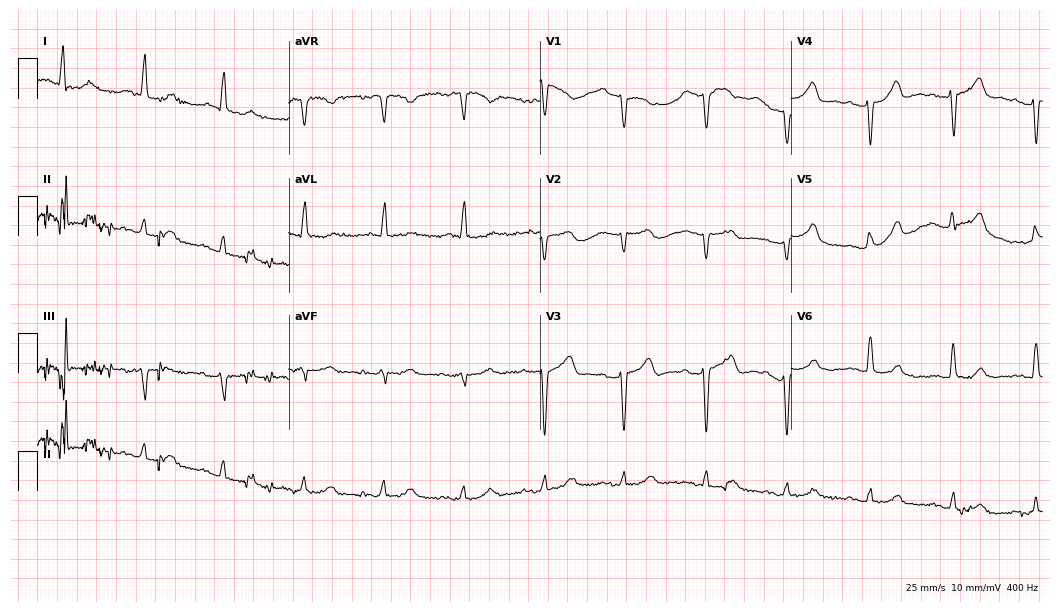
Electrocardiogram, a female, 75 years old. Of the six screened findings (first-degree AV block, right bundle branch block, left bundle branch block, sinus bradycardia, atrial fibrillation, sinus tachycardia), none is recorded.